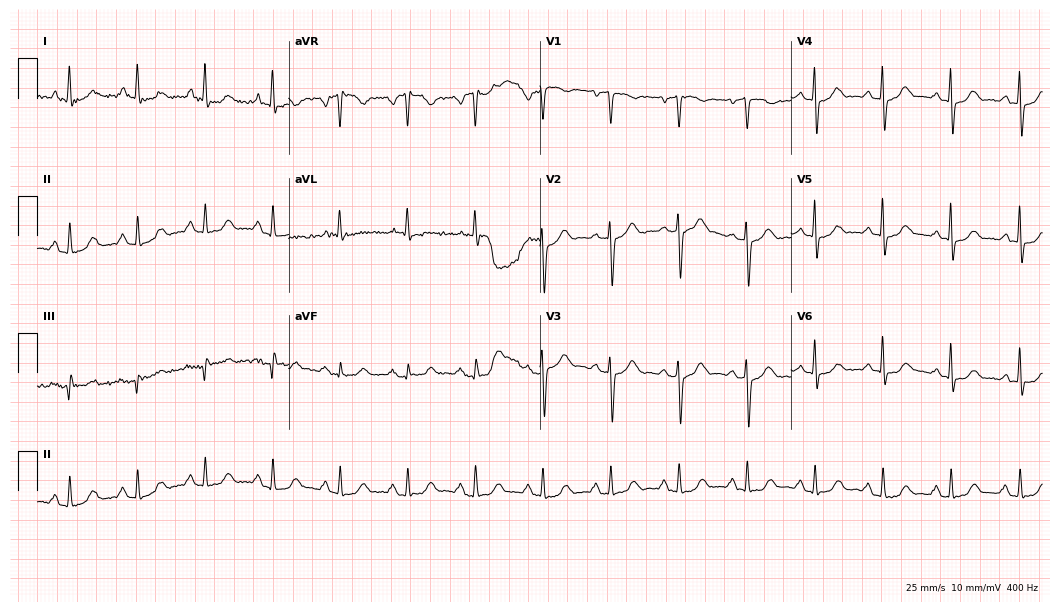
Standard 12-lead ECG recorded from a woman, 68 years old (10.2-second recording at 400 Hz). Read as a normal ECG.